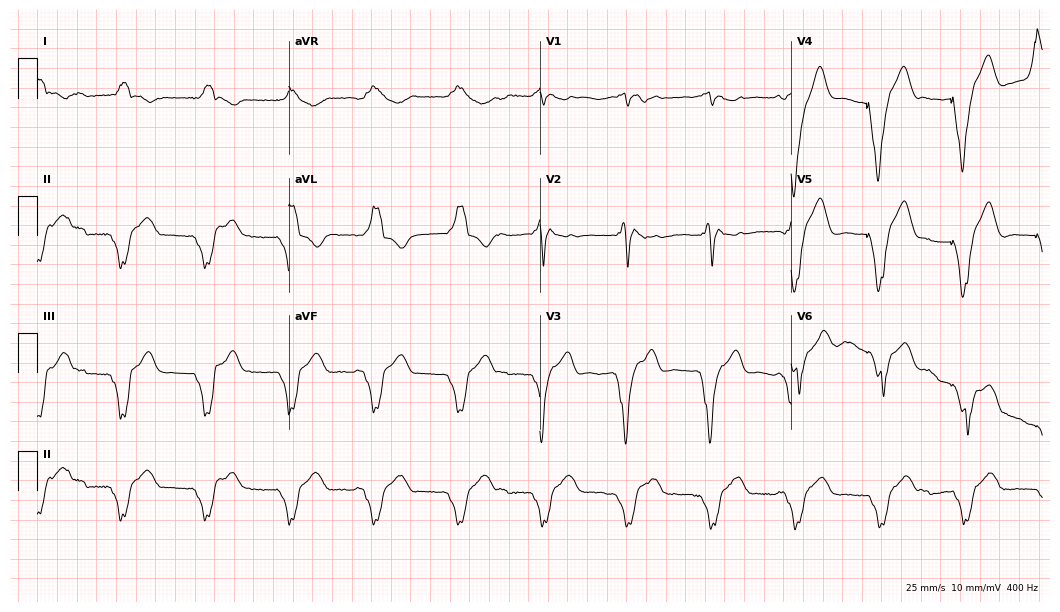
12-lead ECG from a 75-year-old man. Screened for six findings — first-degree AV block, right bundle branch block (RBBB), left bundle branch block (LBBB), sinus bradycardia, atrial fibrillation (AF), sinus tachycardia — none is recorded.